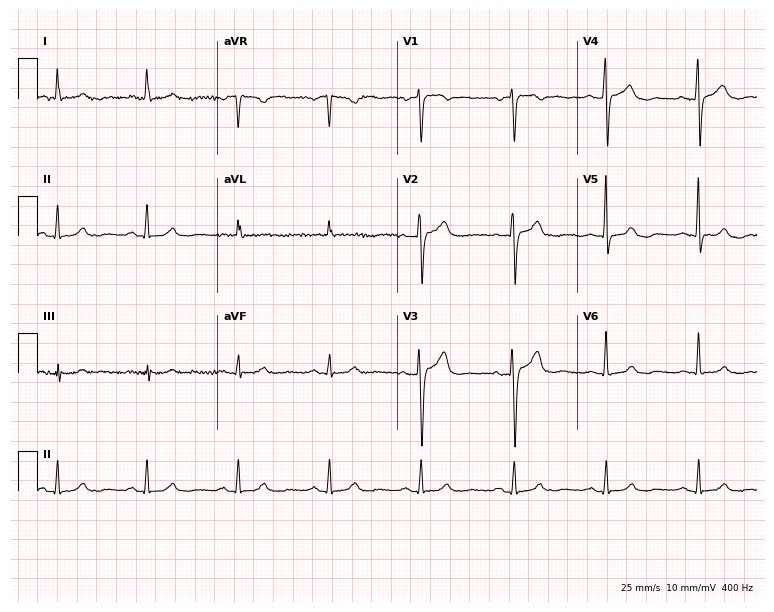
Standard 12-lead ECG recorded from a 73-year-old female (7.3-second recording at 400 Hz). Read as a normal ECG.